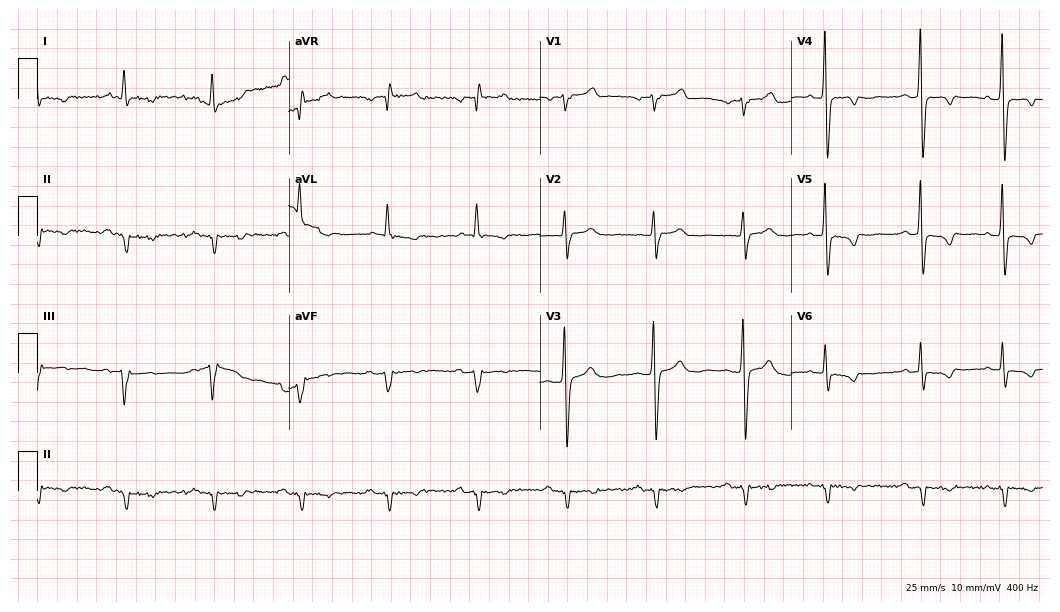
12-lead ECG from a 63-year-old male. No first-degree AV block, right bundle branch block, left bundle branch block, sinus bradycardia, atrial fibrillation or sinus tachycardia recorded for this tracing. Only these six findings were labelled.